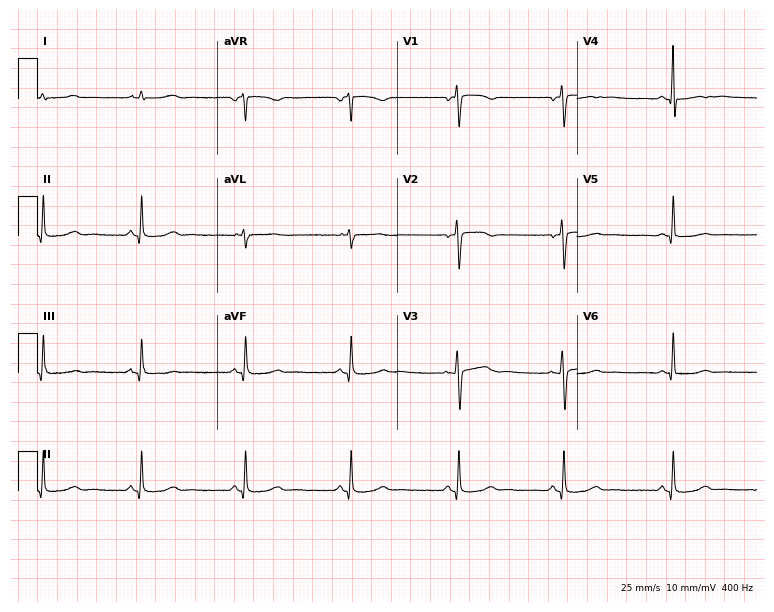
12-lead ECG from a 43-year-old woman. Recorded interpretation: within normal limits.